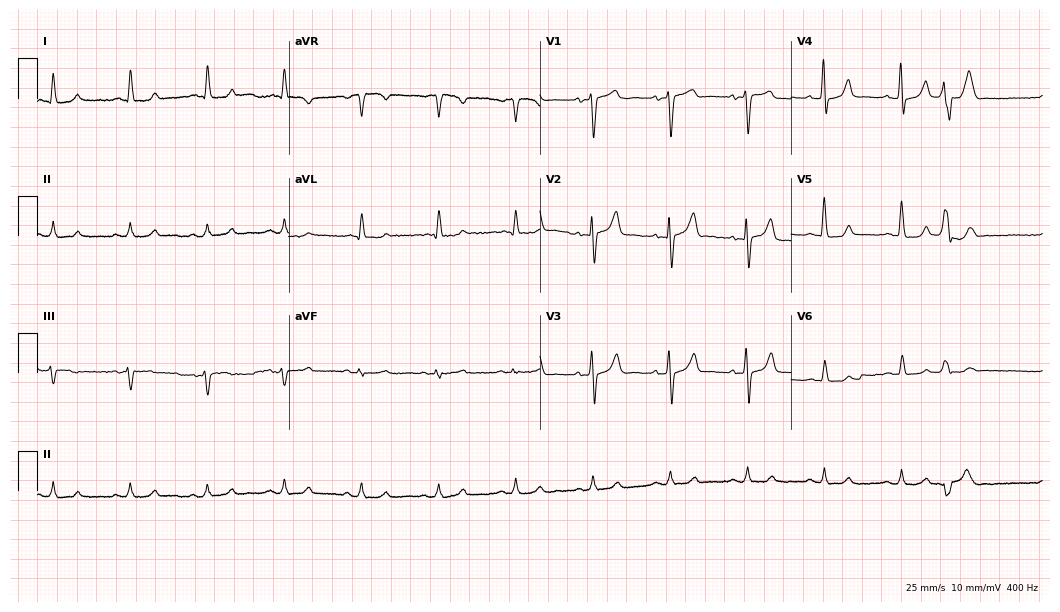
12-lead ECG (10.2-second recording at 400 Hz) from an 80-year-old male. Labelled as a normal ECG.